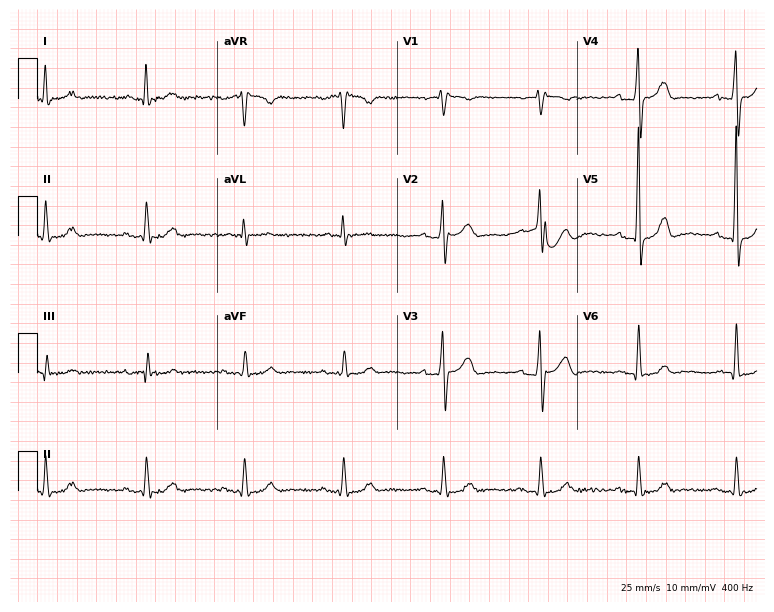
Electrocardiogram, a male patient, 61 years old. Of the six screened findings (first-degree AV block, right bundle branch block (RBBB), left bundle branch block (LBBB), sinus bradycardia, atrial fibrillation (AF), sinus tachycardia), none is recorded. Other findings, if any, are not listed.